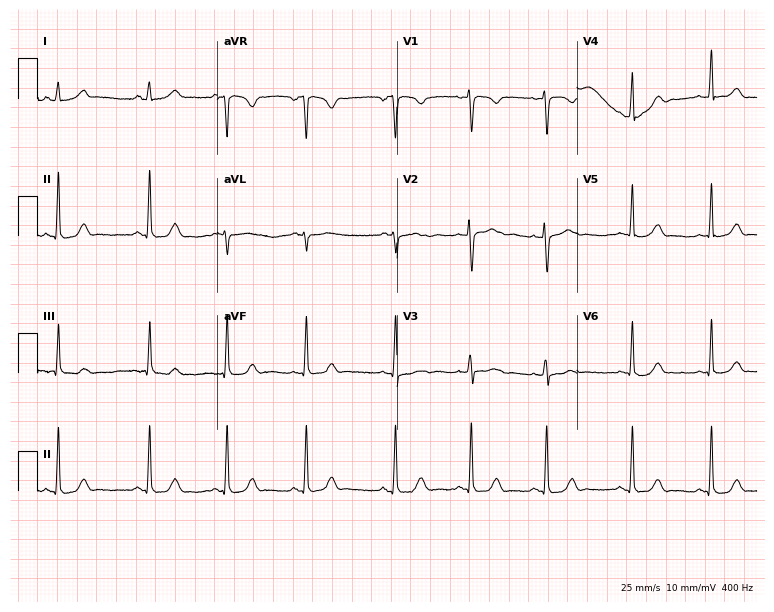
Standard 12-lead ECG recorded from a female, 23 years old (7.3-second recording at 400 Hz). None of these six findings is recorded: first-degree AV block, right bundle branch block (RBBB), left bundle branch block (LBBB), sinus bradycardia, atrial fibrillation (AF), sinus tachycardia. Other findings, if any, are not listed.